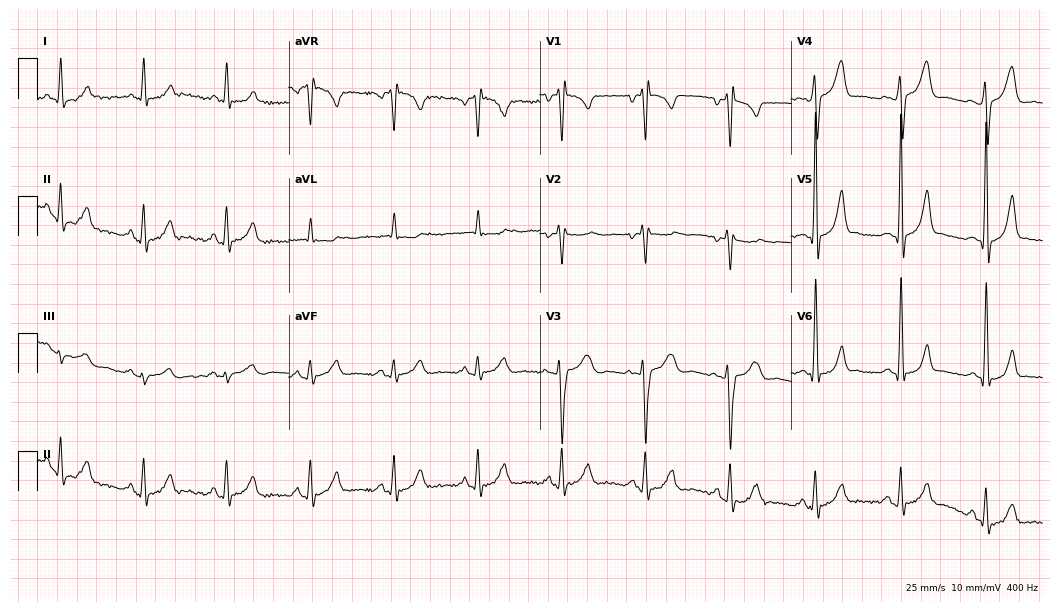
12-lead ECG from a man, 42 years old. No first-degree AV block, right bundle branch block, left bundle branch block, sinus bradycardia, atrial fibrillation or sinus tachycardia recorded for this tracing.